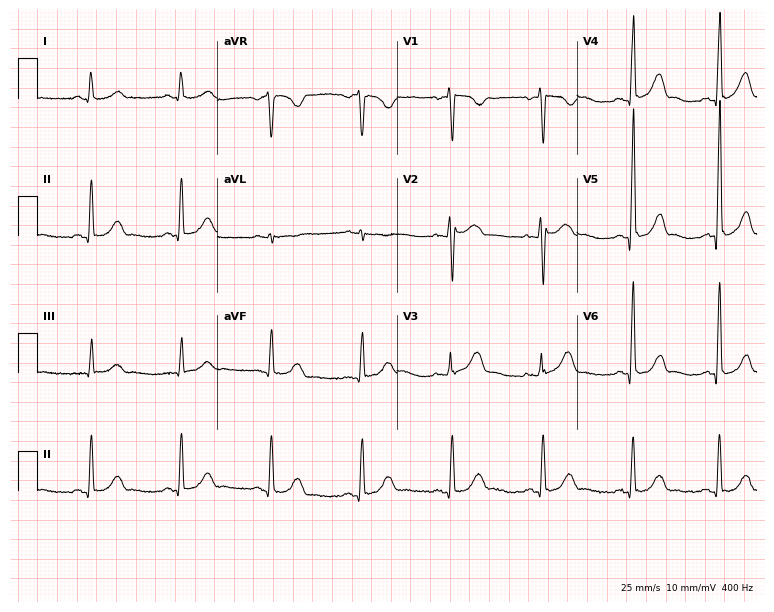
ECG — a female, 57 years old. Labelled as a normal ECG.